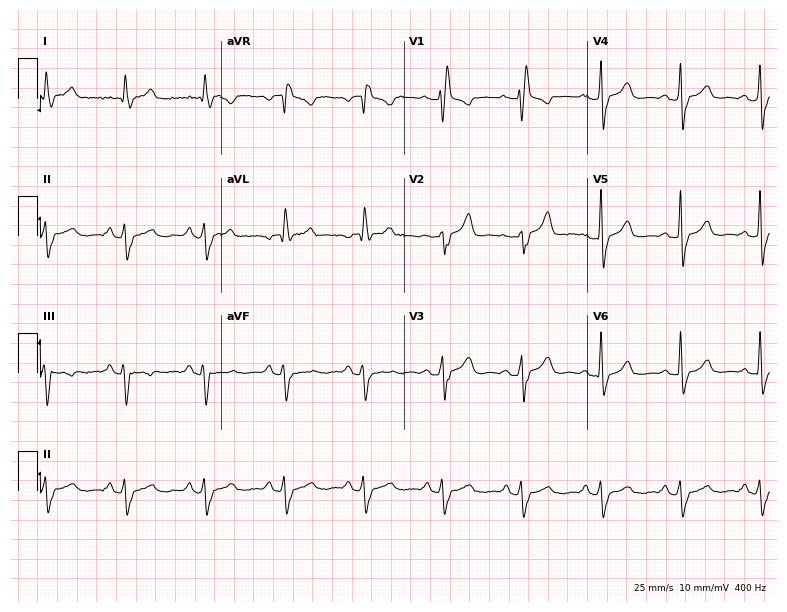
Electrocardiogram (7.5-second recording at 400 Hz), a 63-year-old male. Of the six screened findings (first-degree AV block, right bundle branch block, left bundle branch block, sinus bradycardia, atrial fibrillation, sinus tachycardia), none is recorded. Findings outside these six are not listed.